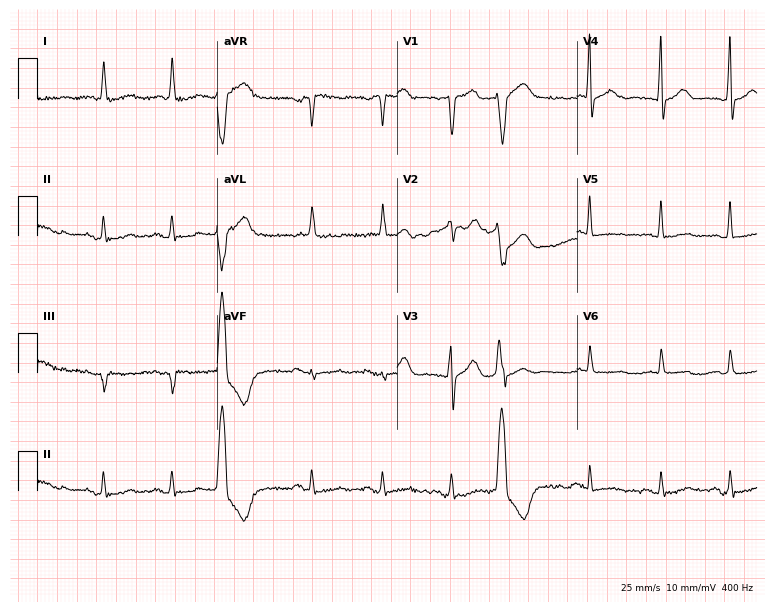
12-lead ECG from a female, 76 years old. No first-degree AV block, right bundle branch block, left bundle branch block, sinus bradycardia, atrial fibrillation or sinus tachycardia recorded for this tracing.